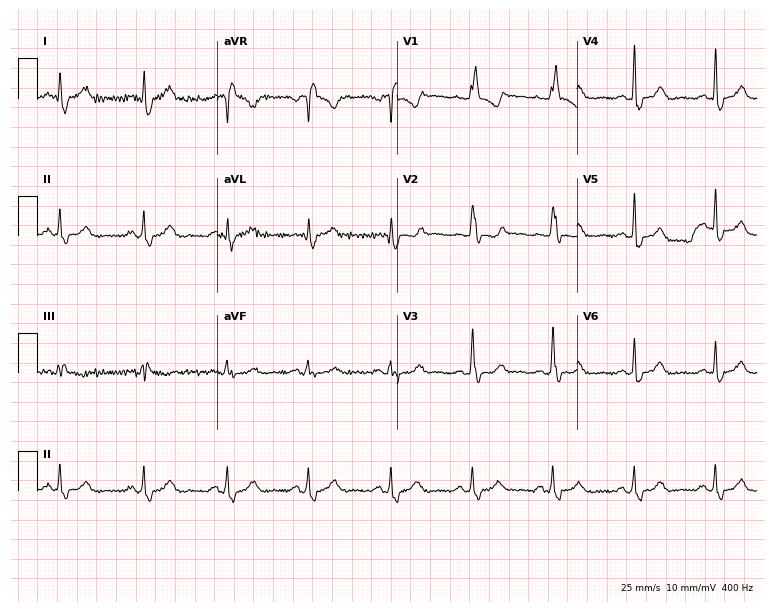
ECG (7.3-second recording at 400 Hz) — a woman, 65 years old. Findings include right bundle branch block.